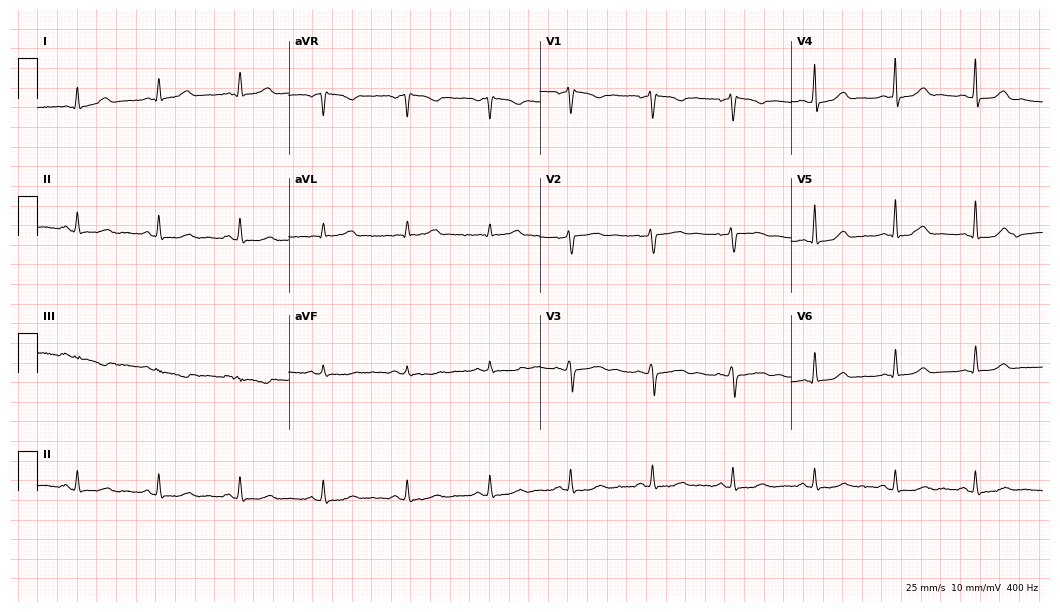
Resting 12-lead electrocardiogram. Patient: a 43-year-old female. None of these six findings is recorded: first-degree AV block, right bundle branch block, left bundle branch block, sinus bradycardia, atrial fibrillation, sinus tachycardia.